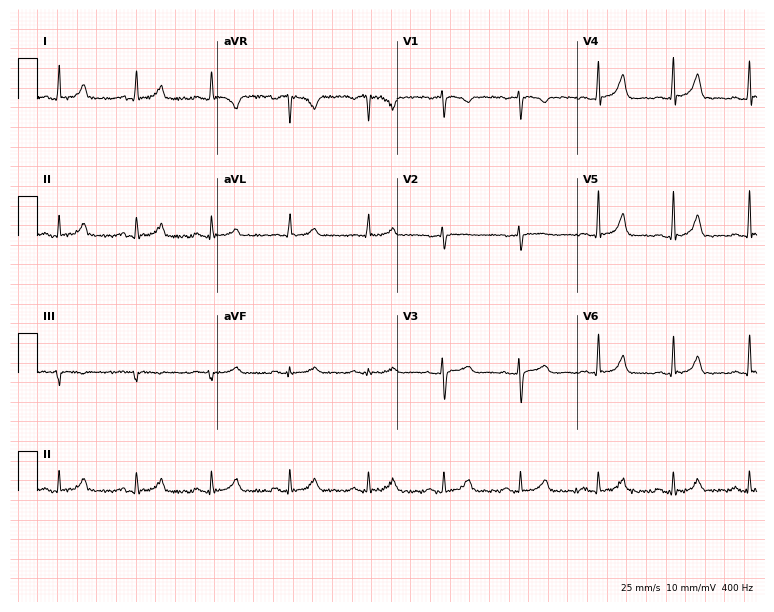
12-lead ECG from a 33-year-old female. No first-degree AV block, right bundle branch block (RBBB), left bundle branch block (LBBB), sinus bradycardia, atrial fibrillation (AF) or sinus tachycardia recorded for this tracing. Findings outside these six are not listed.